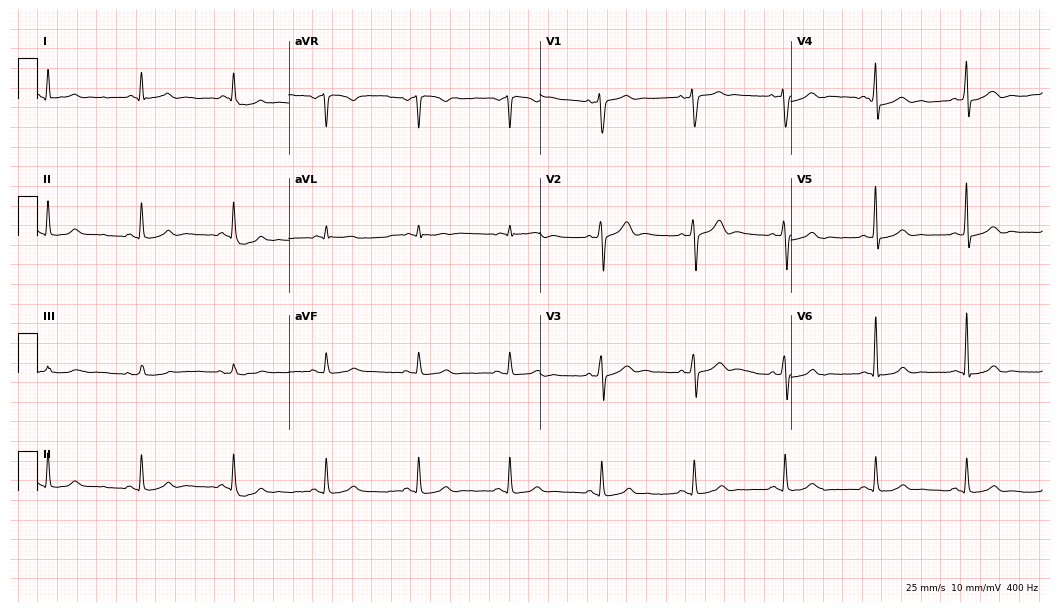
12-lead ECG (10.2-second recording at 400 Hz) from a male patient, 51 years old. Labelled as a normal ECG.